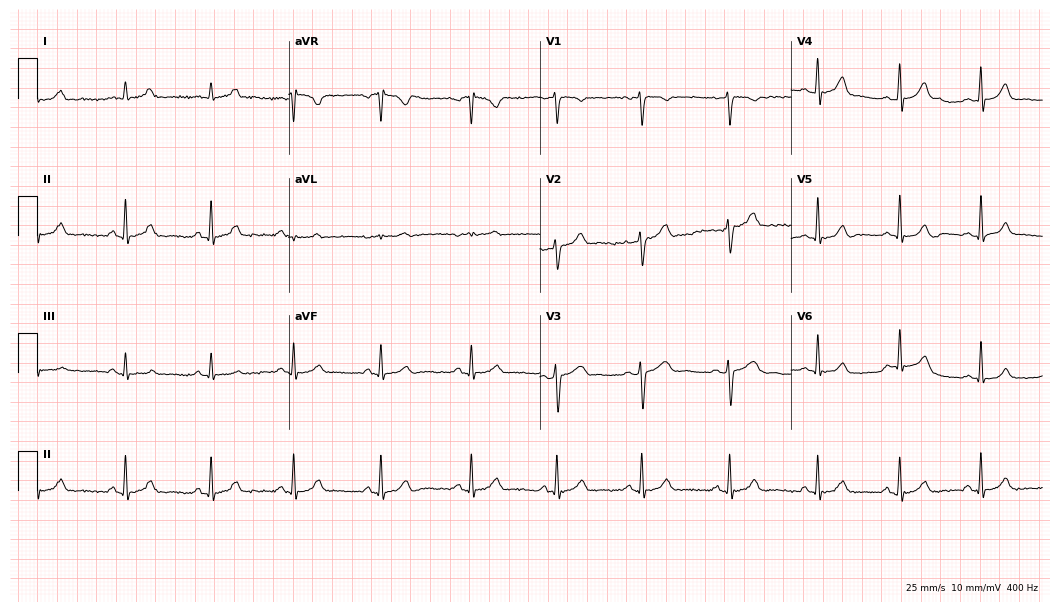
Electrocardiogram, a 21-year-old female patient. Overall reading on record: normal ECG.